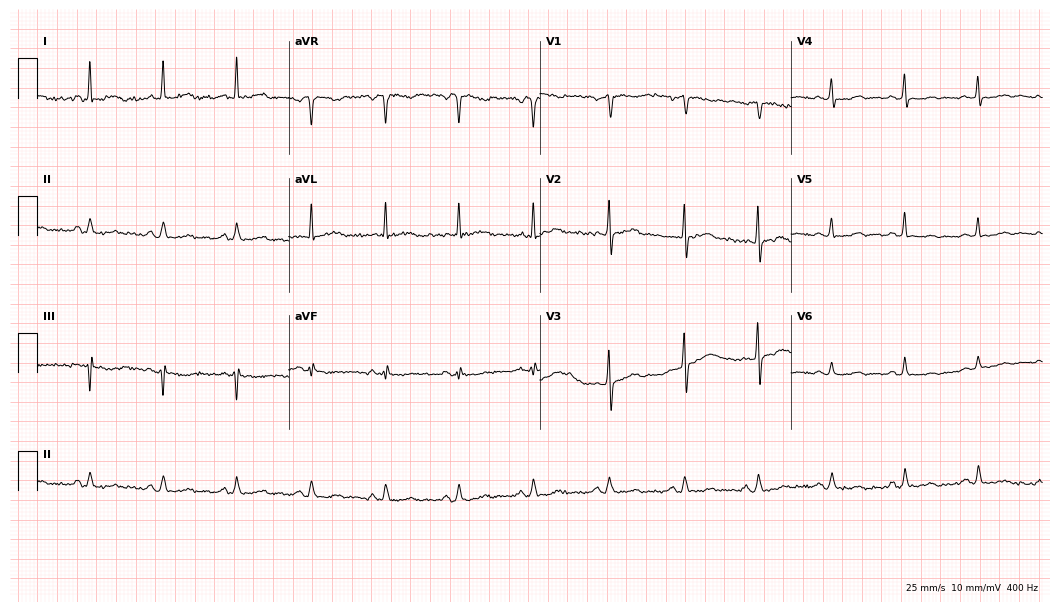
12-lead ECG from a female, 71 years old. No first-degree AV block, right bundle branch block, left bundle branch block, sinus bradycardia, atrial fibrillation or sinus tachycardia recorded for this tracing.